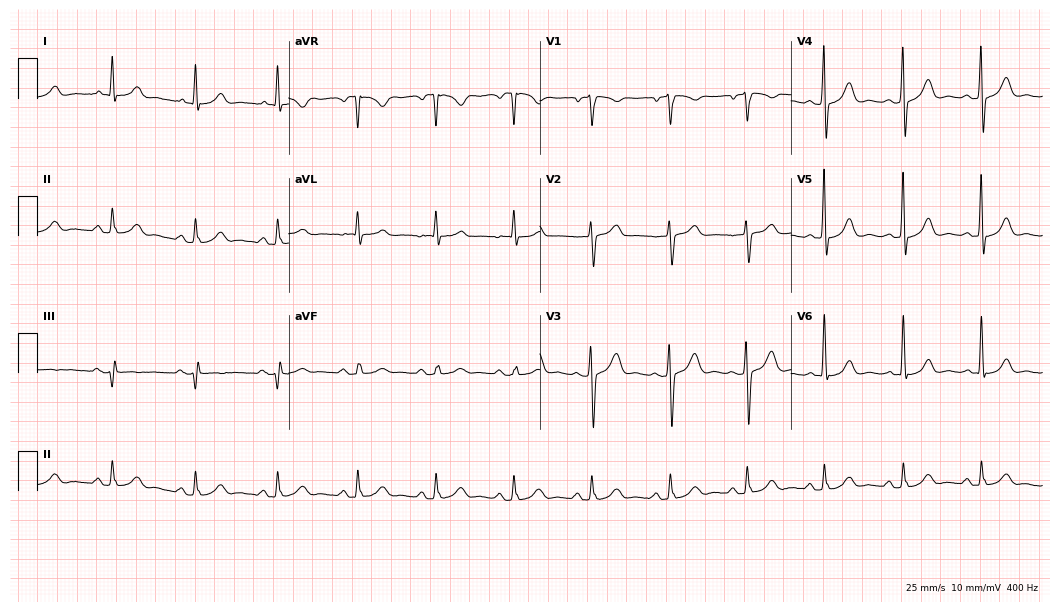
12-lead ECG (10.2-second recording at 400 Hz) from a 68-year-old male. Labelled as a normal ECG.